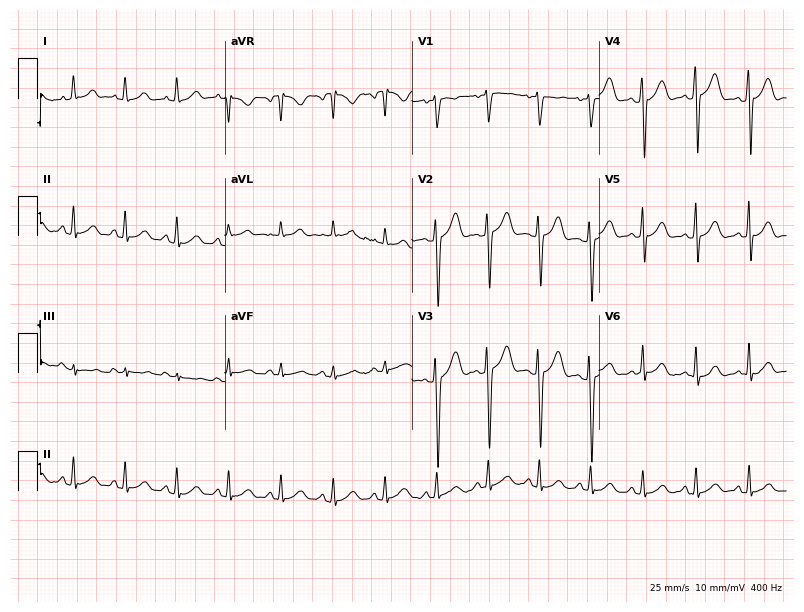
ECG (7.6-second recording at 400 Hz) — a woman, 23 years old. Screened for six findings — first-degree AV block, right bundle branch block (RBBB), left bundle branch block (LBBB), sinus bradycardia, atrial fibrillation (AF), sinus tachycardia — none is recorded. Other findings, if any, are not listed.